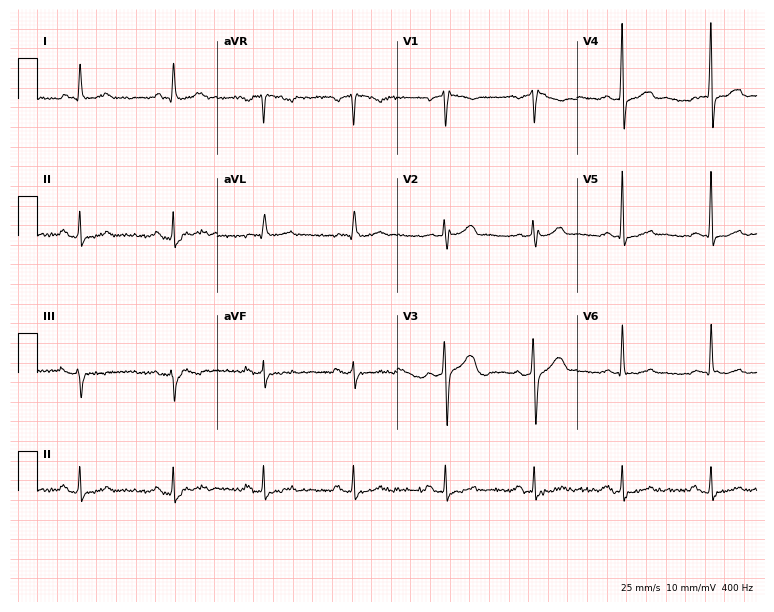
Electrocardiogram (7.3-second recording at 400 Hz), a male patient, 53 years old. Of the six screened findings (first-degree AV block, right bundle branch block, left bundle branch block, sinus bradycardia, atrial fibrillation, sinus tachycardia), none is recorded.